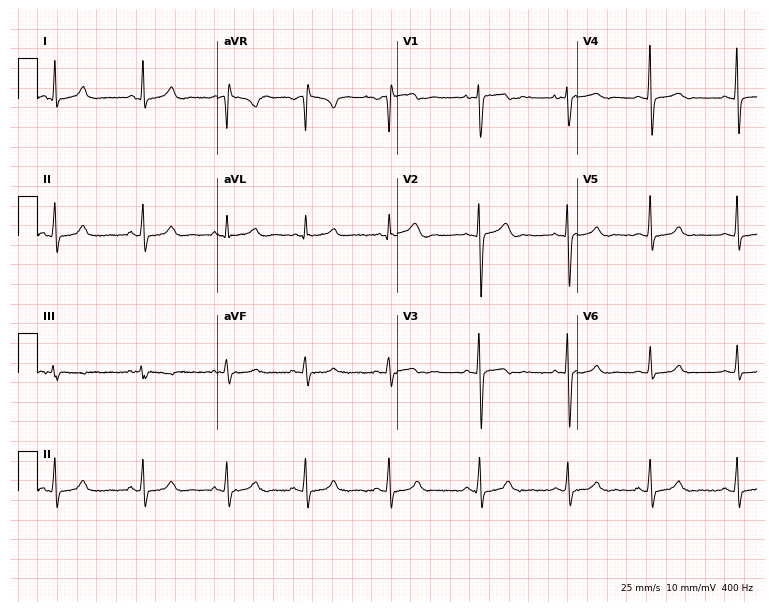
Electrocardiogram (7.3-second recording at 400 Hz), a female, 28 years old. Overall reading on record: normal ECG.